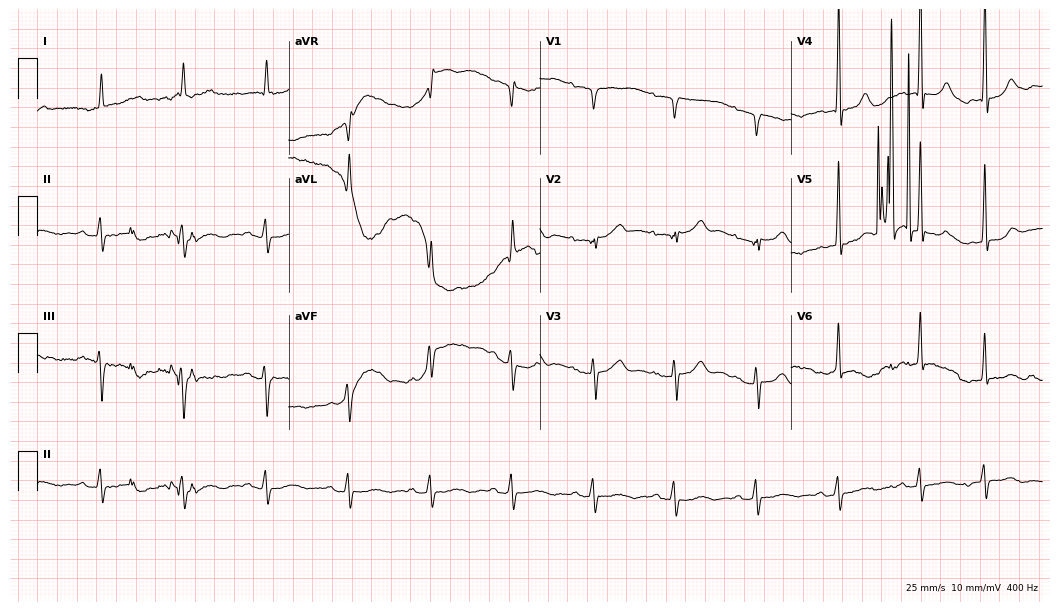
Standard 12-lead ECG recorded from an 80-year-old male (10.2-second recording at 400 Hz). The tracing shows first-degree AV block, atrial fibrillation.